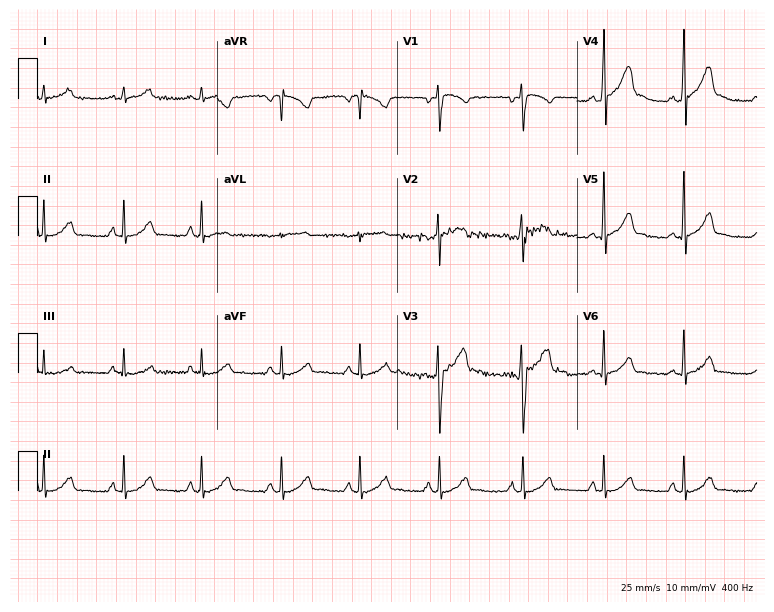
12-lead ECG from a male, 19 years old (7.3-second recording at 400 Hz). Recorded interpretation: within normal limits.